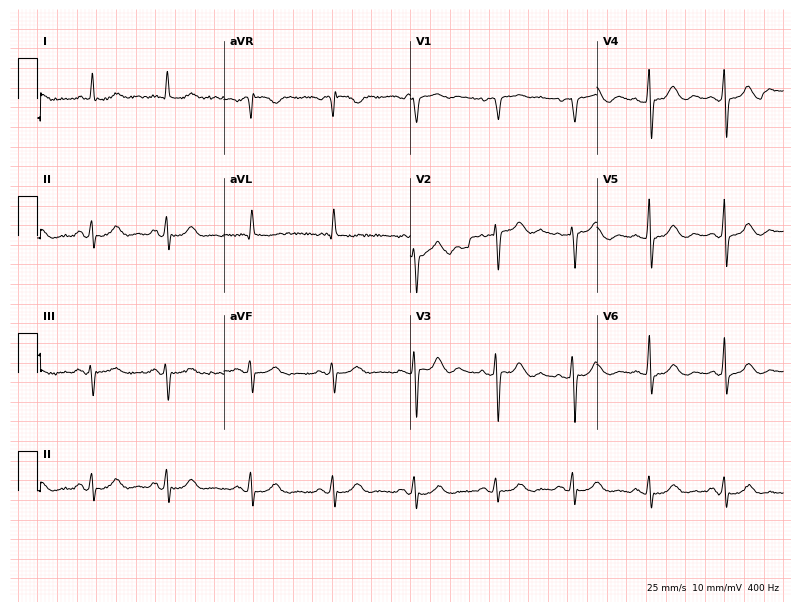
Standard 12-lead ECG recorded from a 65-year-old woman. None of these six findings is recorded: first-degree AV block, right bundle branch block (RBBB), left bundle branch block (LBBB), sinus bradycardia, atrial fibrillation (AF), sinus tachycardia. Other findings, if any, are not listed.